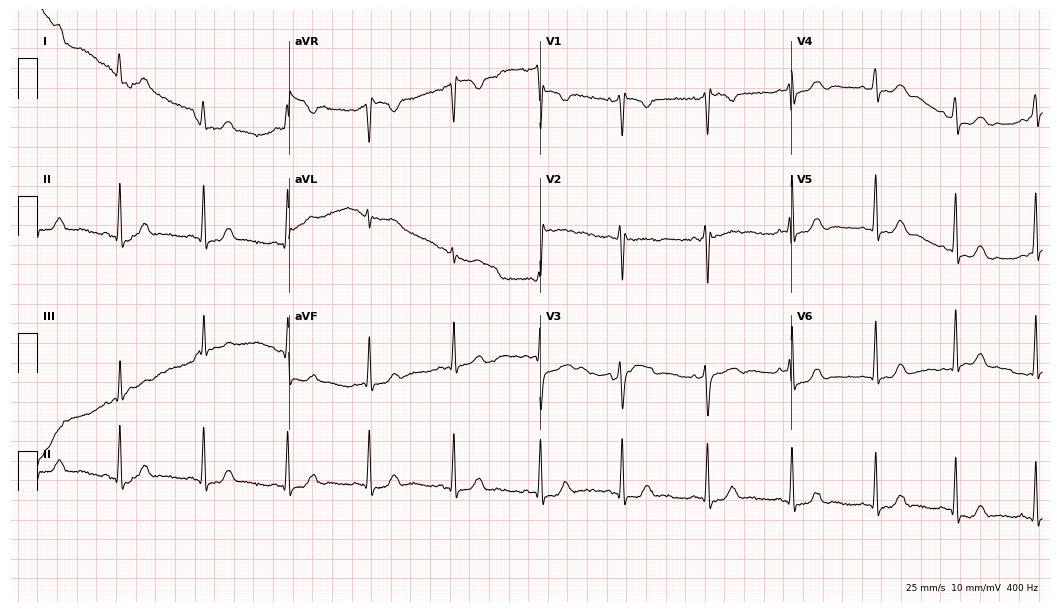
ECG (10.2-second recording at 400 Hz) — a female, 44 years old. Screened for six findings — first-degree AV block, right bundle branch block (RBBB), left bundle branch block (LBBB), sinus bradycardia, atrial fibrillation (AF), sinus tachycardia — none is recorded. Findings outside these six are not listed.